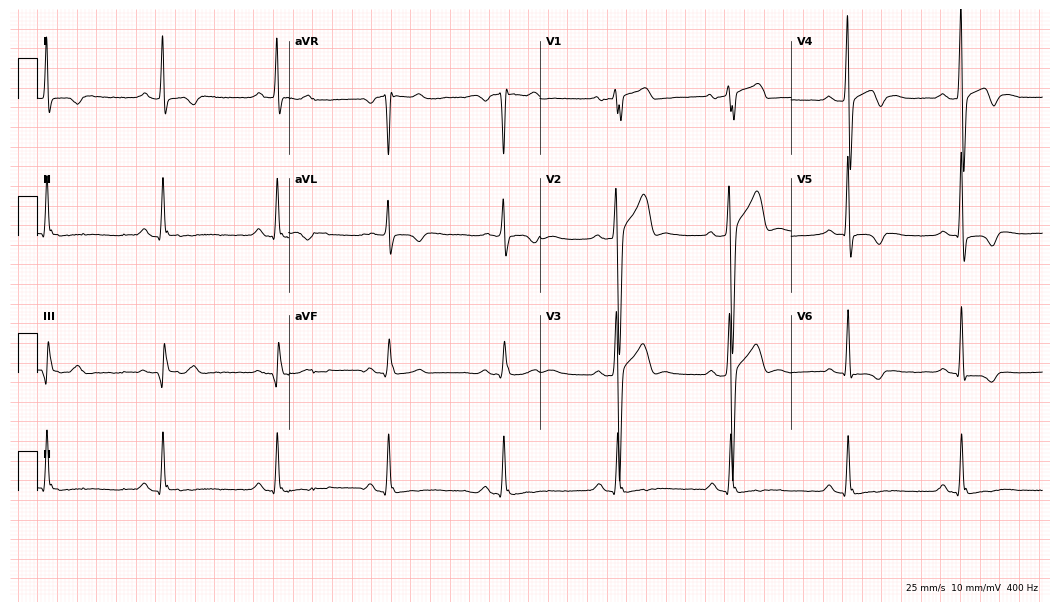
Resting 12-lead electrocardiogram (10.2-second recording at 400 Hz). Patient: a male, 36 years old. The tracing shows first-degree AV block, atrial fibrillation (AF).